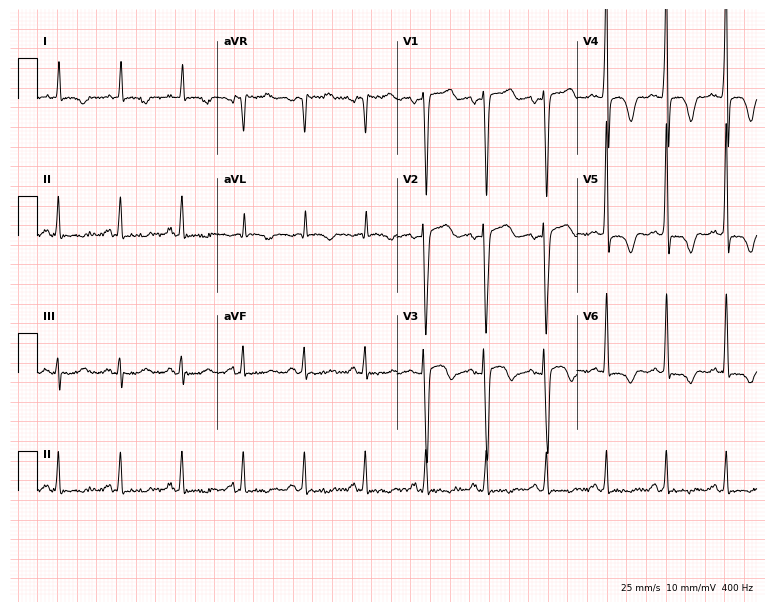
Standard 12-lead ECG recorded from a man, 63 years old (7.3-second recording at 400 Hz). Read as a normal ECG.